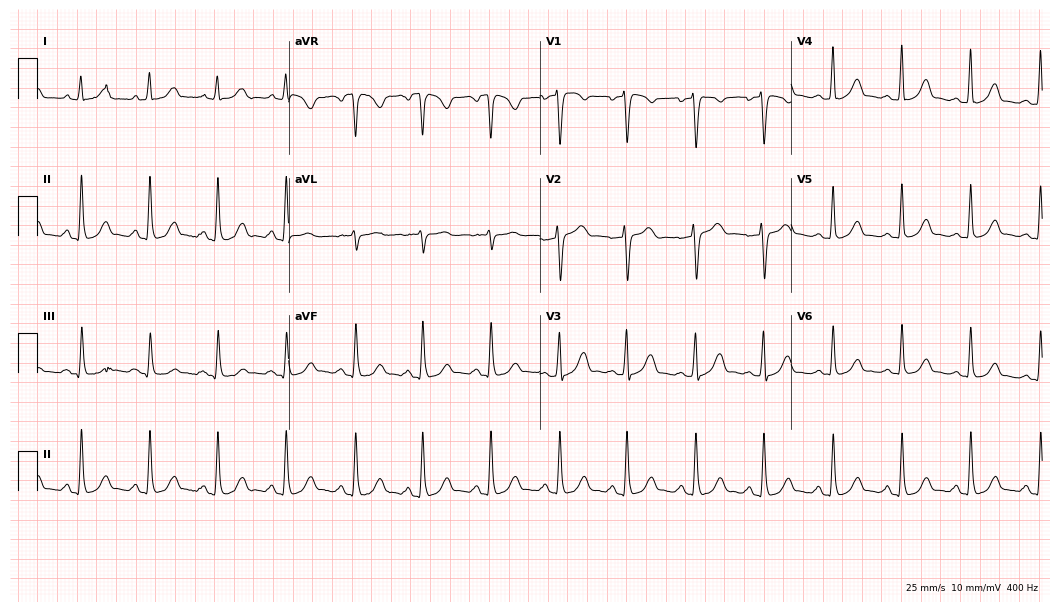
Electrocardiogram (10.2-second recording at 400 Hz), a female, 33 years old. Of the six screened findings (first-degree AV block, right bundle branch block, left bundle branch block, sinus bradycardia, atrial fibrillation, sinus tachycardia), none is recorded.